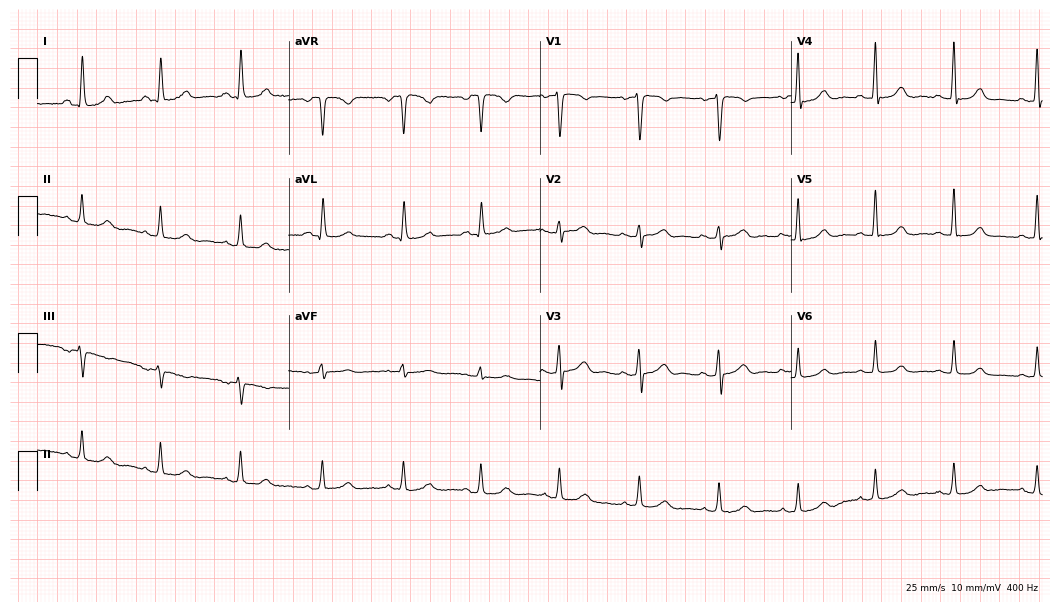
Resting 12-lead electrocardiogram (10.2-second recording at 400 Hz). Patient: a female, 44 years old. Read as a normal ECG.